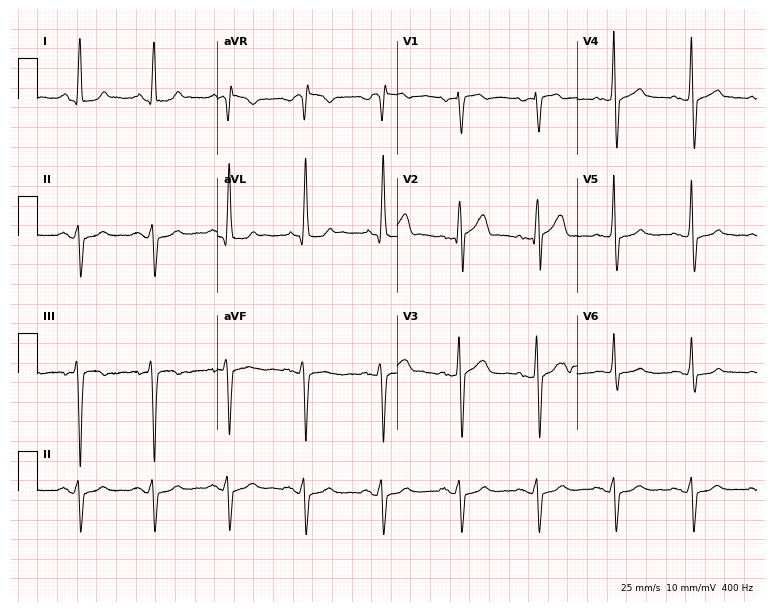
ECG (7.3-second recording at 400 Hz) — a 62-year-old male. Screened for six findings — first-degree AV block, right bundle branch block (RBBB), left bundle branch block (LBBB), sinus bradycardia, atrial fibrillation (AF), sinus tachycardia — none is recorded. Other findings, if any, are not listed.